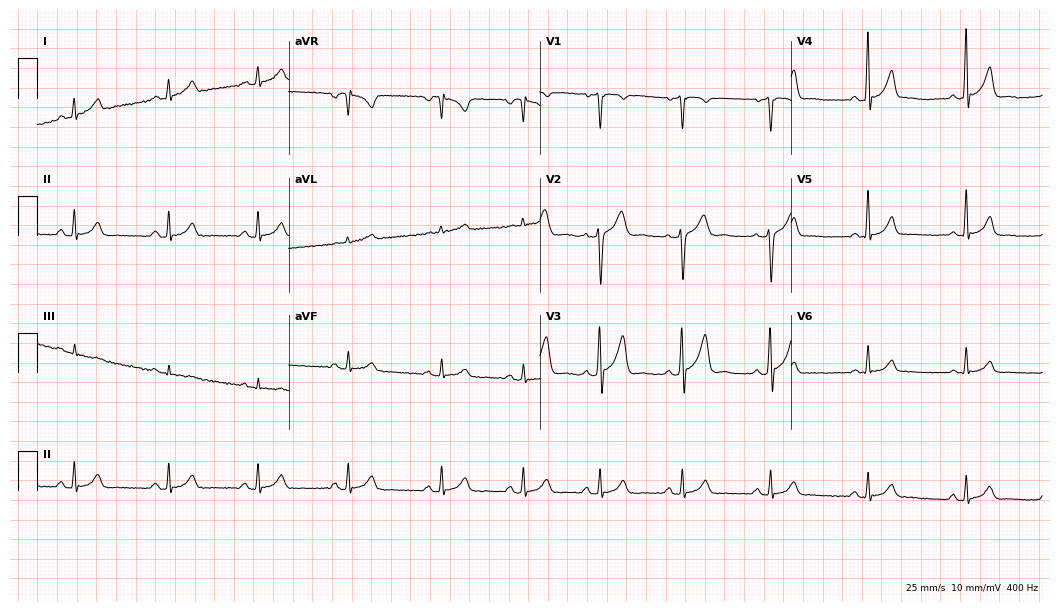
ECG (10.2-second recording at 400 Hz) — a 50-year-old male. Screened for six findings — first-degree AV block, right bundle branch block (RBBB), left bundle branch block (LBBB), sinus bradycardia, atrial fibrillation (AF), sinus tachycardia — none is recorded. Findings outside these six are not listed.